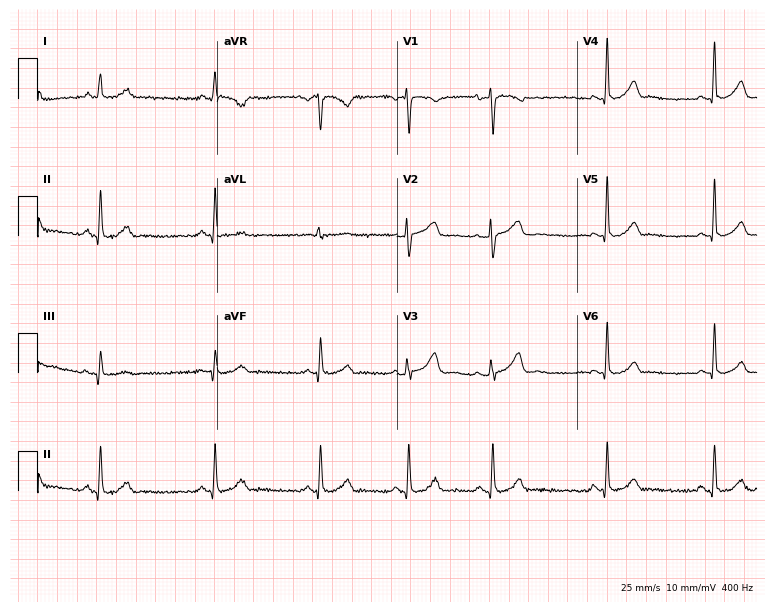
ECG — a 32-year-old female. Labelled as a normal ECG.